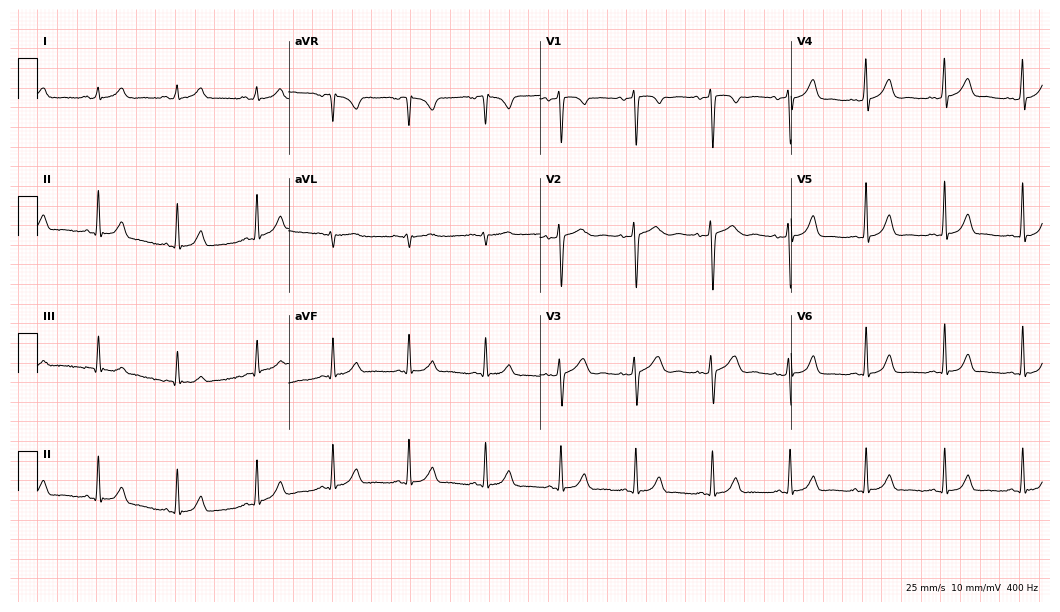
ECG — a 28-year-old female patient. Labelled as a normal ECG.